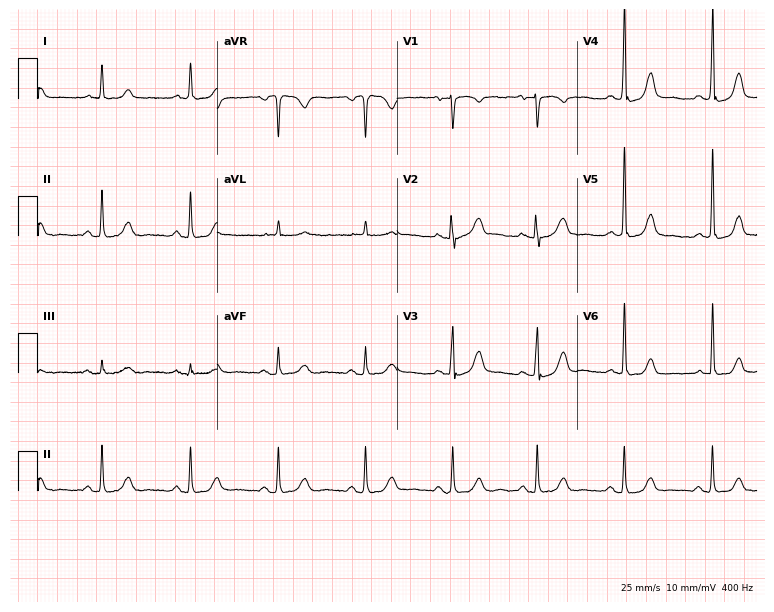
Resting 12-lead electrocardiogram. Patient: a female, 84 years old. Read as a normal ECG.